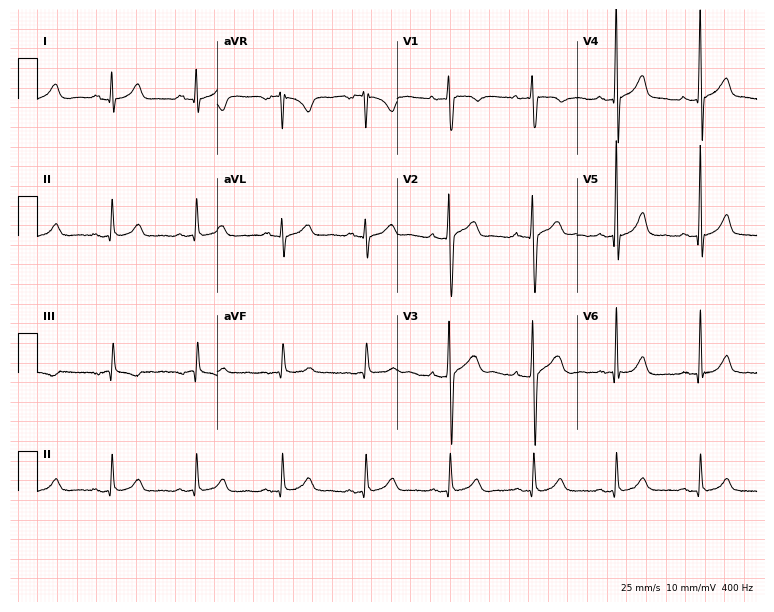
12-lead ECG from a 26-year-old male patient (7.3-second recording at 400 Hz). No first-degree AV block, right bundle branch block (RBBB), left bundle branch block (LBBB), sinus bradycardia, atrial fibrillation (AF) or sinus tachycardia recorded for this tracing.